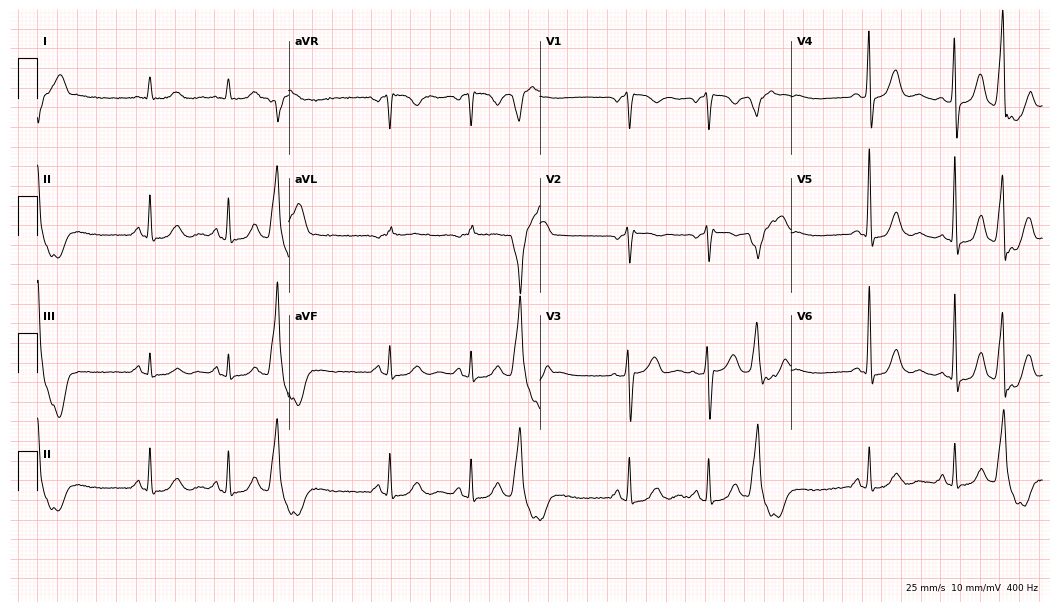
12-lead ECG from a male patient, 65 years old (10.2-second recording at 400 Hz). No first-degree AV block, right bundle branch block (RBBB), left bundle branch block (LBBB), sinus bradycardia, atrial fibrillation (AF) or sinus tachycardia recorded for this tracing. Findings outside these six are not listed.